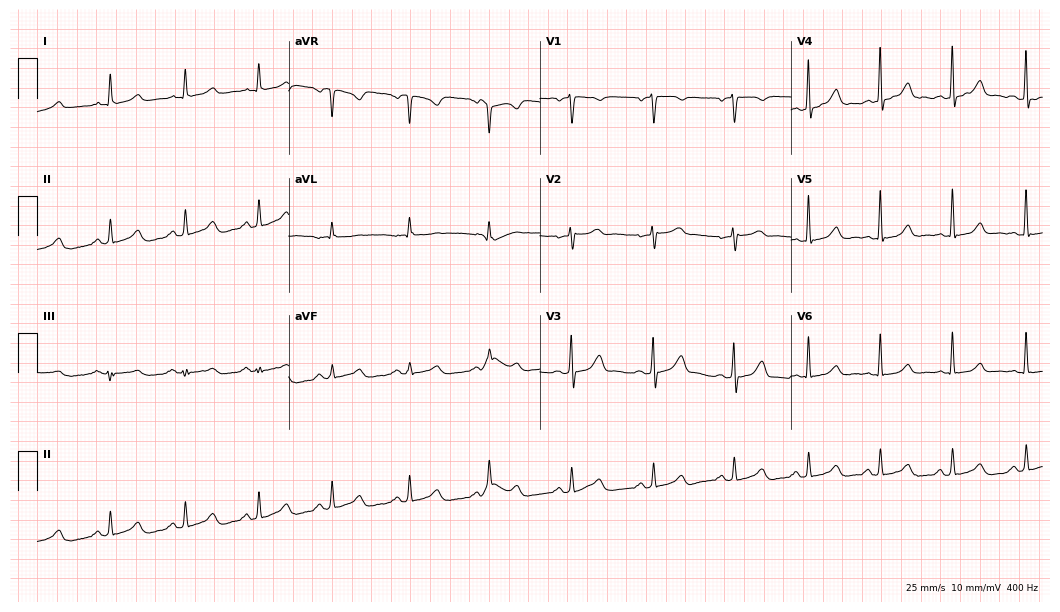
Electrocardiogram, a 47-year-old woman. Overall reading on record: normal ECG.